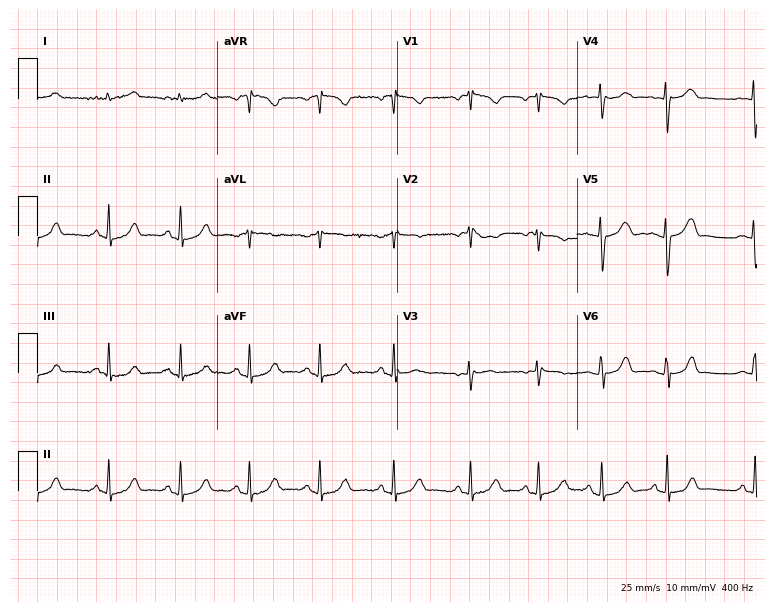
Resting 12-lead electrocardiogram. Patient: a 21-year-old woman. None of these six findings is recorded: first-degree AV block, right bundle branch block, left bundle branch block, sinus bradycardia, atrial fibrillation, sinus tachycardia.